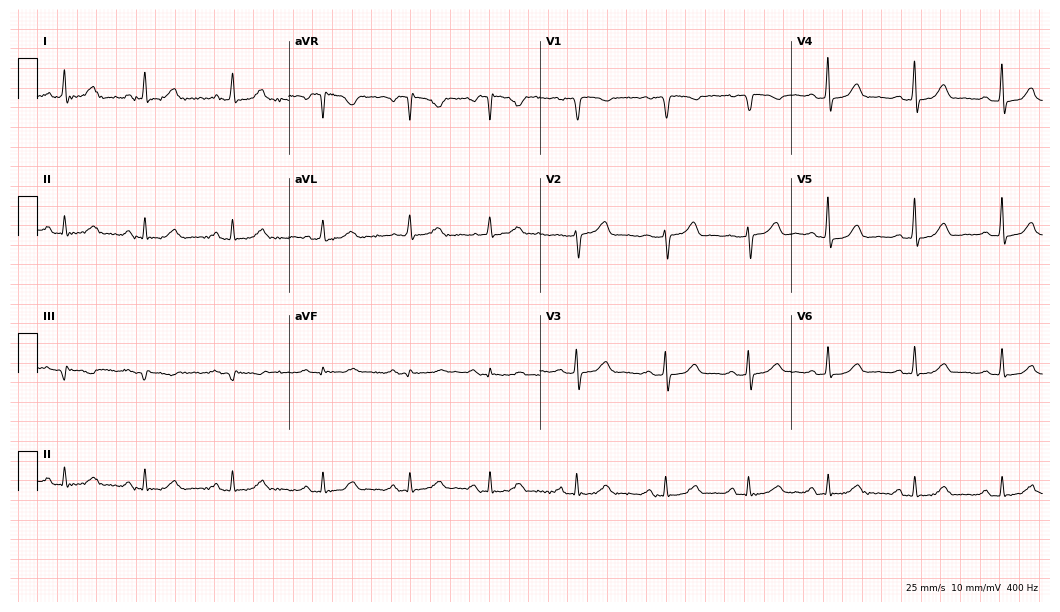
12-lead ECG from a female patient, 60 years old. Labelled as a normal ECG.